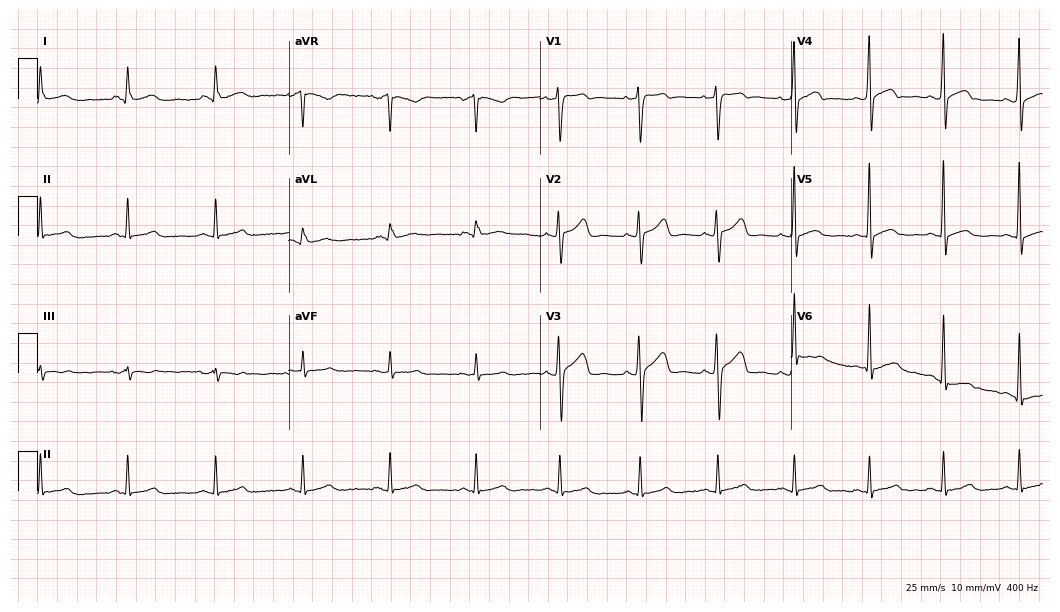
Standard 12-lead ECG recorded from a 27-year-old male patient (10.2-second recording at 400 Hz). Read as a normal ECG.